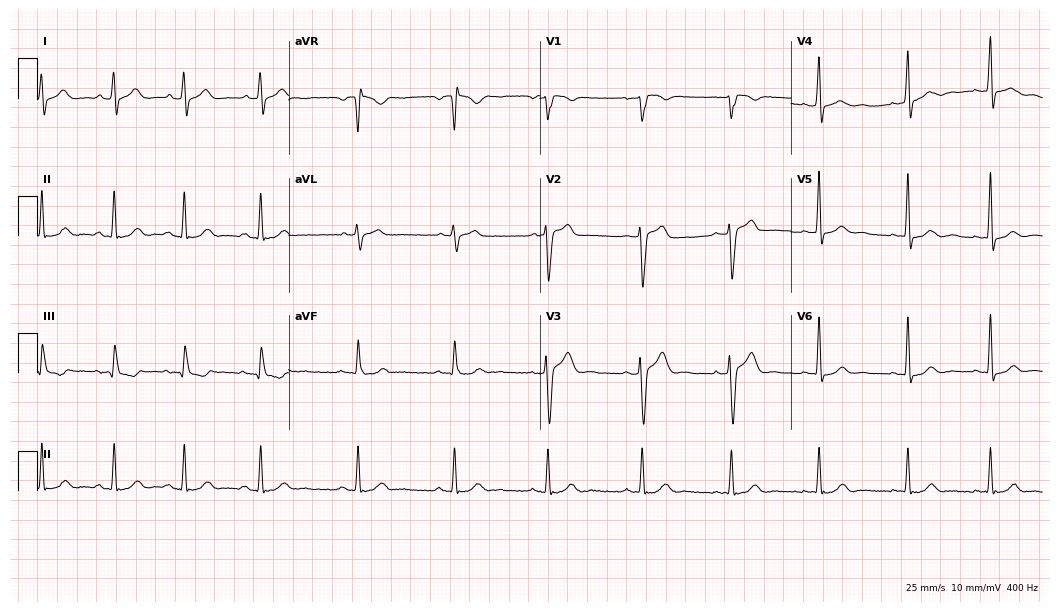
Electrocardiogram, a 25-year-old male. Overall reading on record: normal ECG.